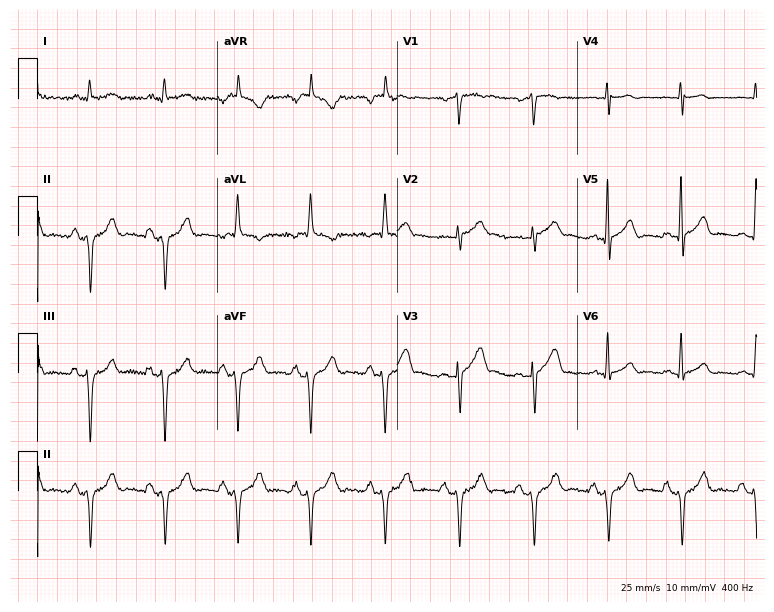
12-lead ECG from a male patient, 71 years old. Screened for six findings — first-degree AV block, right bundle branch block, left bundle branch block, sinus bradycardia, atrial fibrillation, sinus tachycardia — none is recorded. Findings outside these six are not listed.